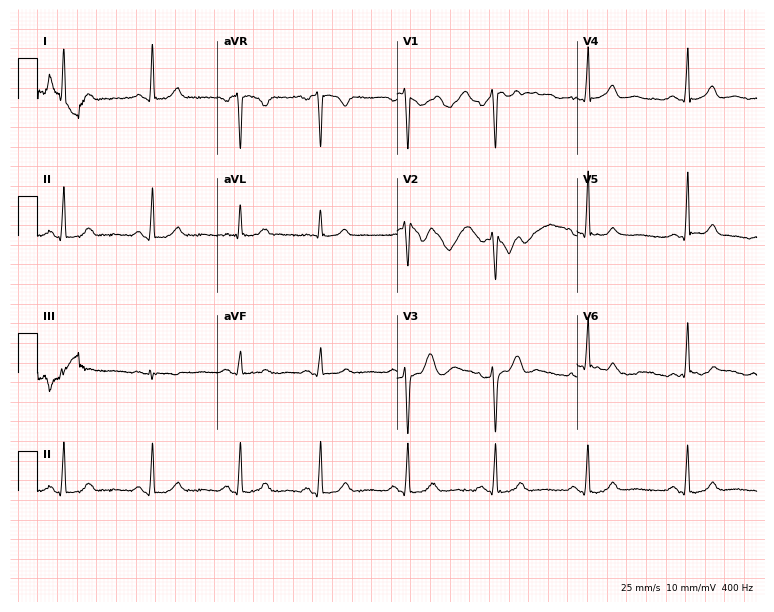
Electrocardiogram, a female patient, 38 years old. Of the six screened findings (first-degree AV block, right bundle branch block (RBBB), left bundle branch block (LBBB), sinus bradycardia, atrial fibrillation (AF), sinus tachycardia), none is recorded. Only these six findings were labelled.